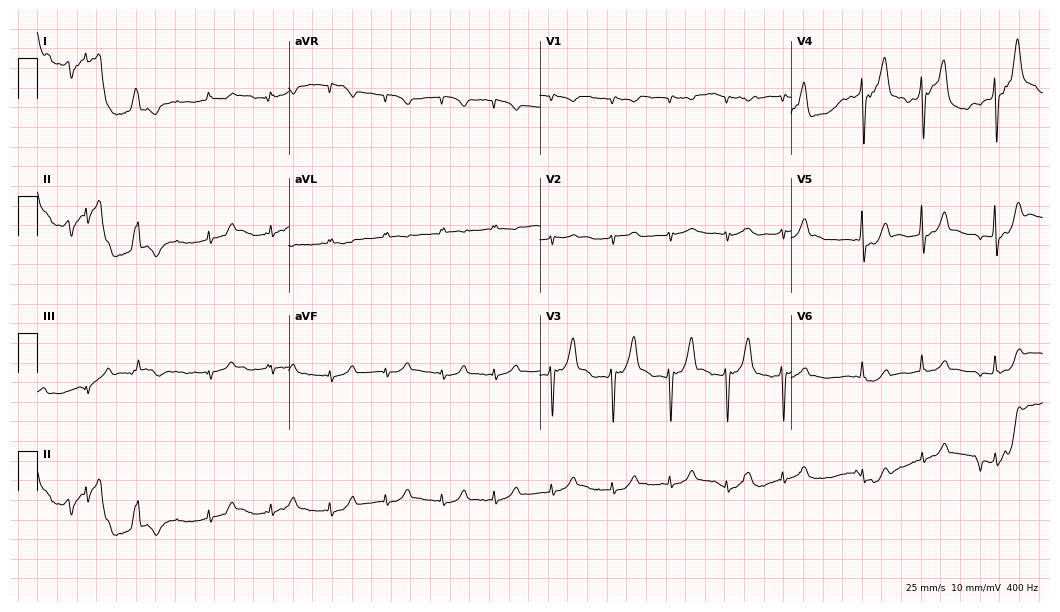
Resting 12-lead electrocardiogram. Patient: an 86-year-old male. None of these six findings is recorded: first-degree AV block, right bundle branch block, left bundle branch block, sinus bradycardia, atrial fibrillation, sinus tachycardia. Only these six findings were labelled.